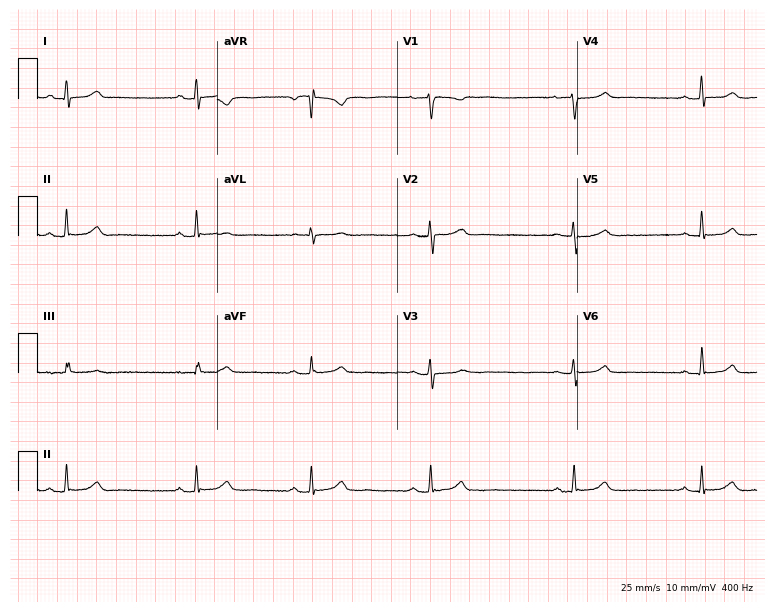
12-lead ECG from a female, 37 years old (7.3-second recording at 400 Hz). Shows sinus bradycardia (a sinus rate of 50 beats per minute or less).